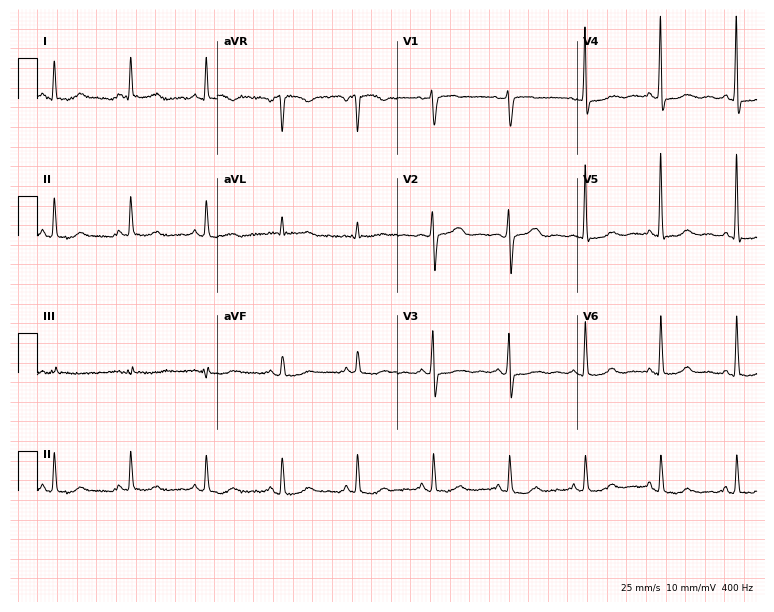
12-lead ECG (7.3-second recording at 400 Hz) from a 69-year-old female patient. Labelled as a normal ECG.